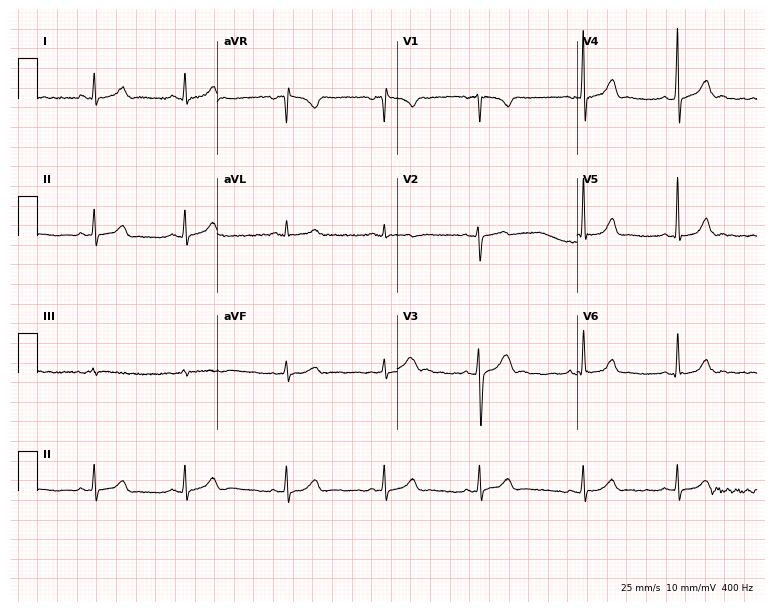
Resting 12-lead electrocardiogram (7.3-second recording at 400 Hz). Patient: a 35-year-old female. Read as a normal ECG.